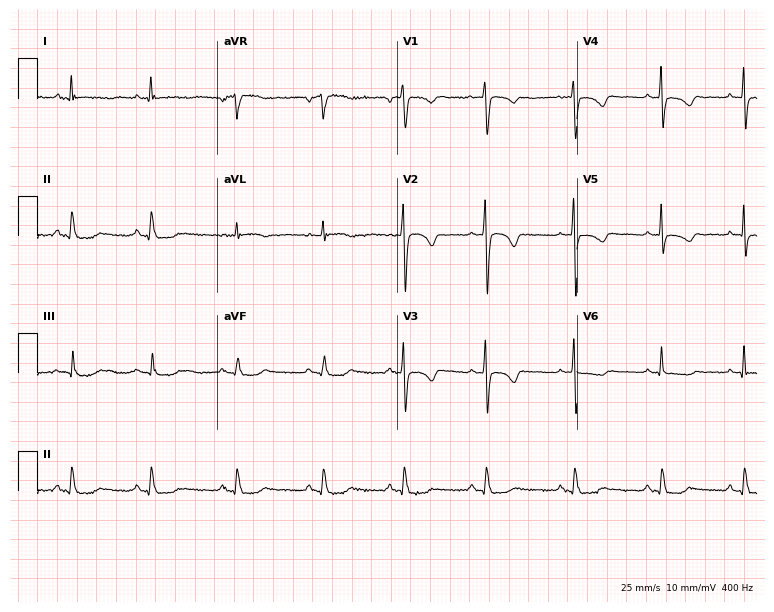
12-lead ECG from a 48-year-old woman. No first-degree AV block, right bundle branch block, left bundle branch block, sinus bradycardia, atrial fibrillation or sinus tachycardia recorded for this tracing.